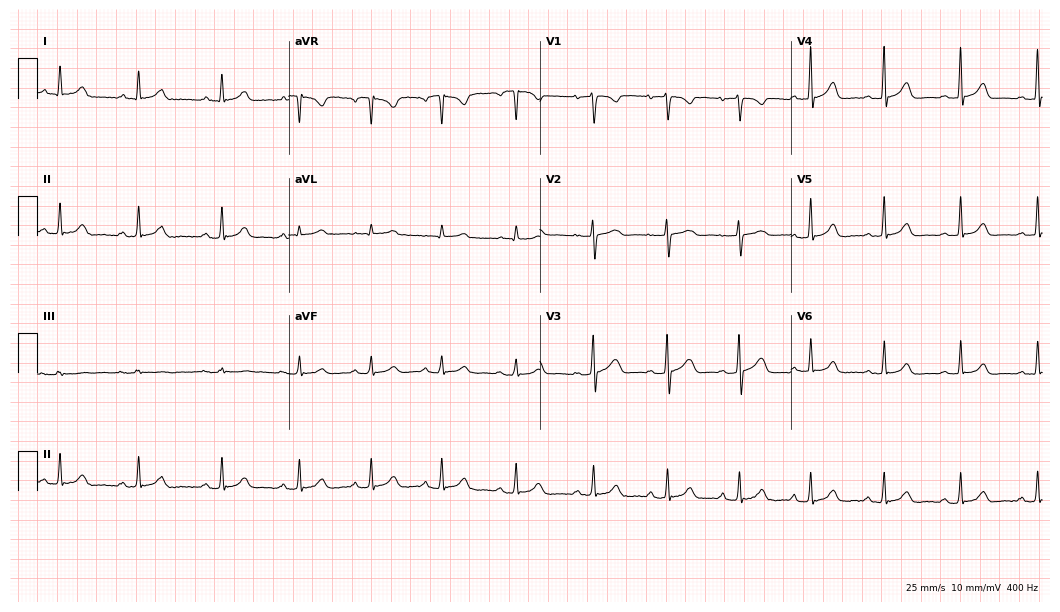
Resting 12-lead electrocardiogram. Patient: a female, 28 years old. Read as a normal ECG.